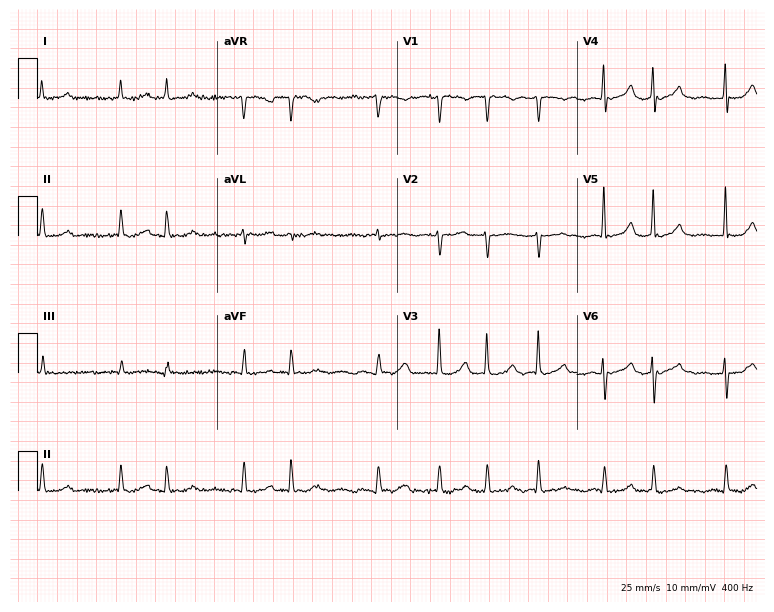
Resting 12-lead electrocardiogram (7.3-second recording at 400 Hz). Patient: an 83-year-old female. The tracing shows atrial fibrillation.